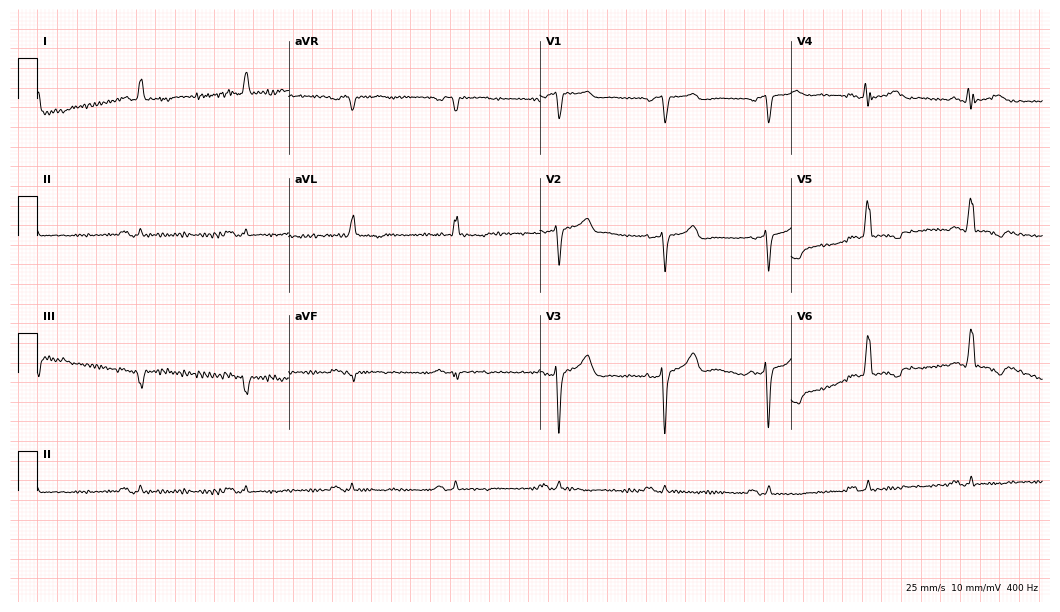
Standard 12-lead ECG recorded from a 64-year-old male patient. Read as a normal ECG.